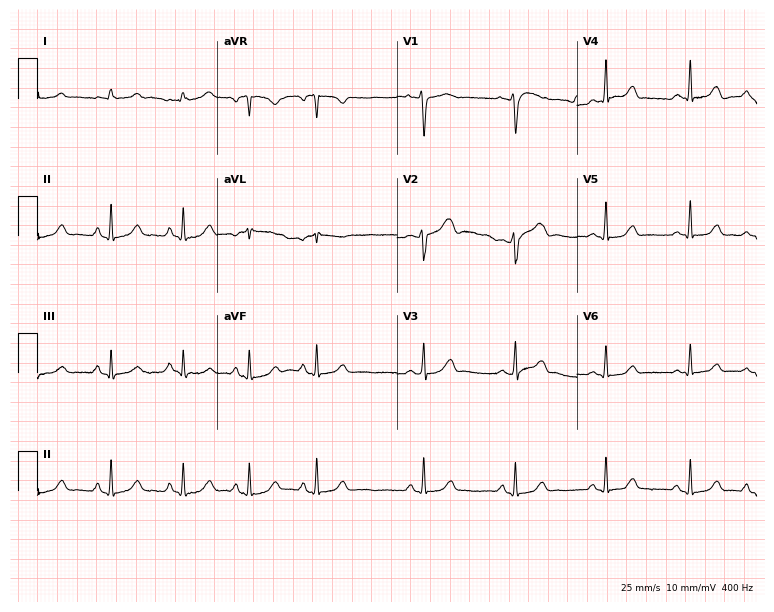
12-lead ECG (7.3-second recording at 400 Hz) from a 20-year-old female patient. Labelled as a normal ECG.